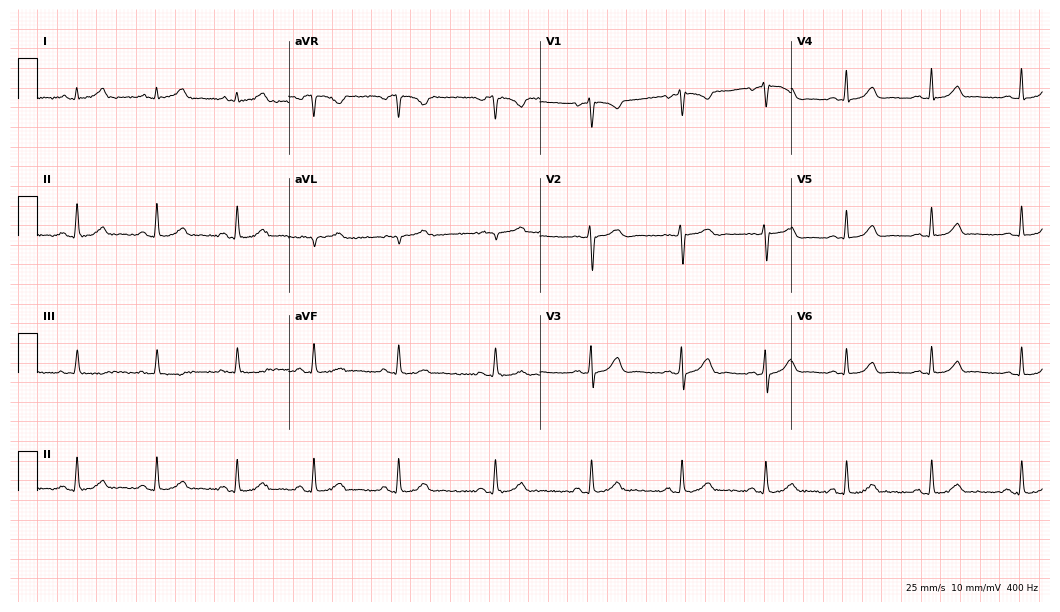
12-lead ECG from a 20-year-old woman (10.2-second recording at 400 Hz). Recorded interpretation: within normal limits.